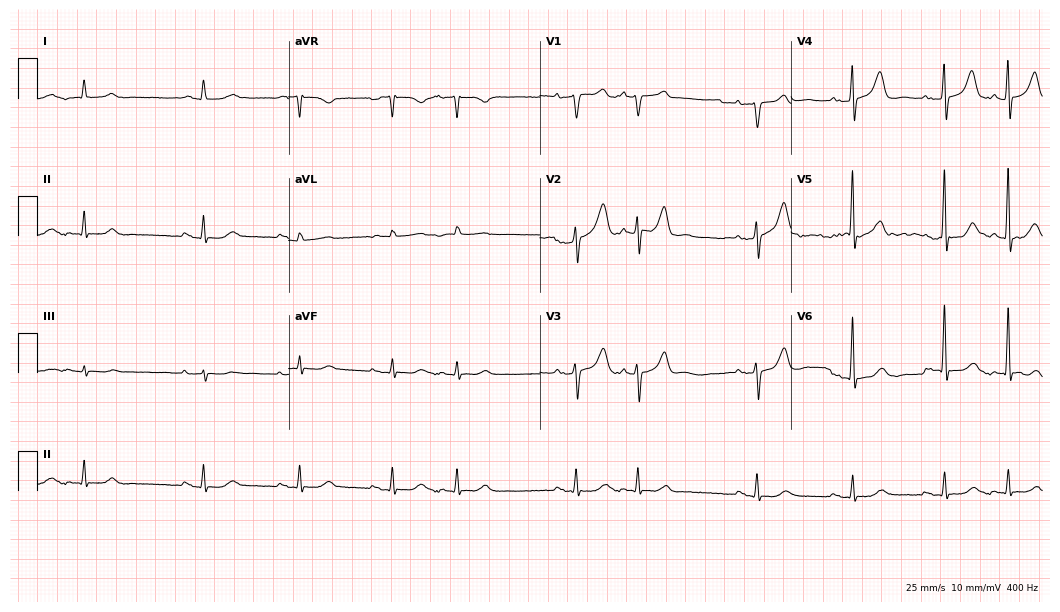
12-lead ECG from a male, 80 years old. Screened for six findings — first-degree AV block, right bundle branch block, left bundle branch block, sinus bradycardia, atrial fibrillation, sinus tachycardia — none is recorded. Only these six findings were labelled.